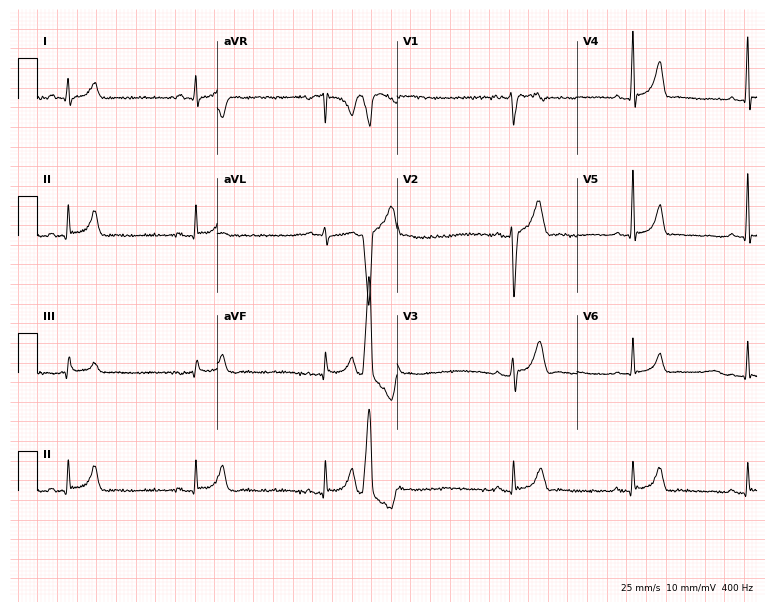
12-lead ECG from a male patient, 21 years old. Shows sinus bradycardia (a sinus rate of 50 beats per minute or less).